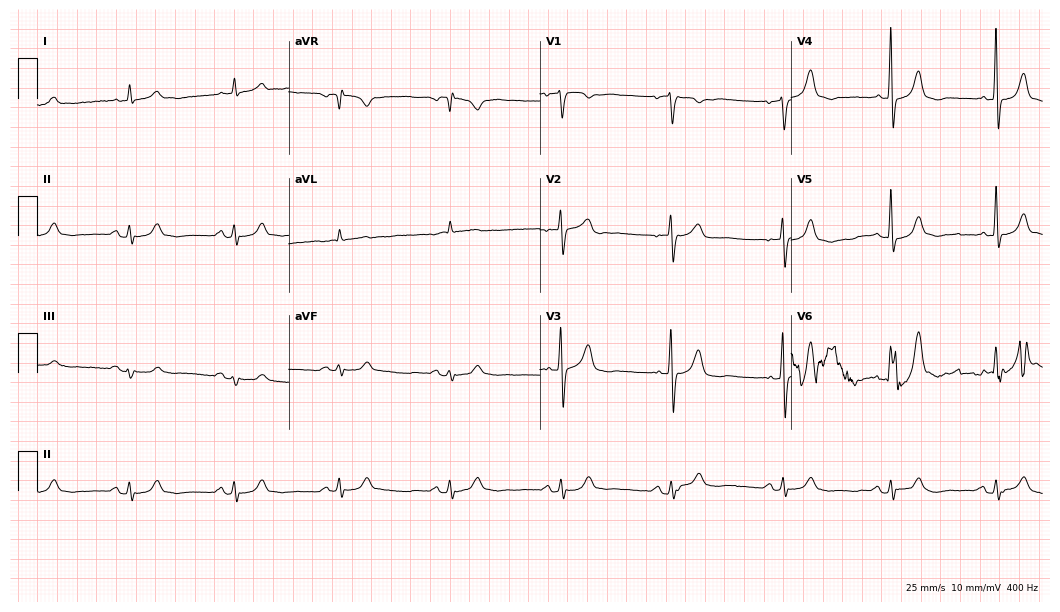
Resting 12-lead electrocardiogram. Patient: a 79-year-old male. Read as a normal ECG.